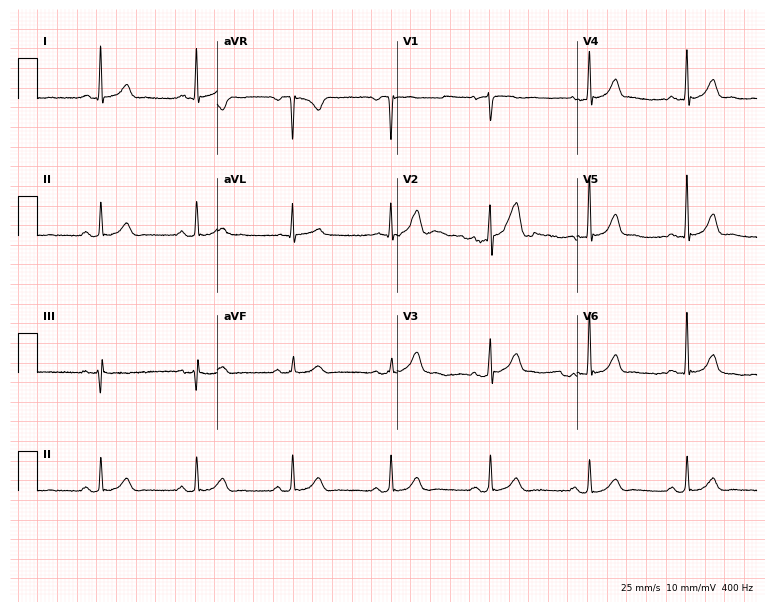
12-lead ECG from a 60-year-old male. Recorded interpretation: within normal limits.